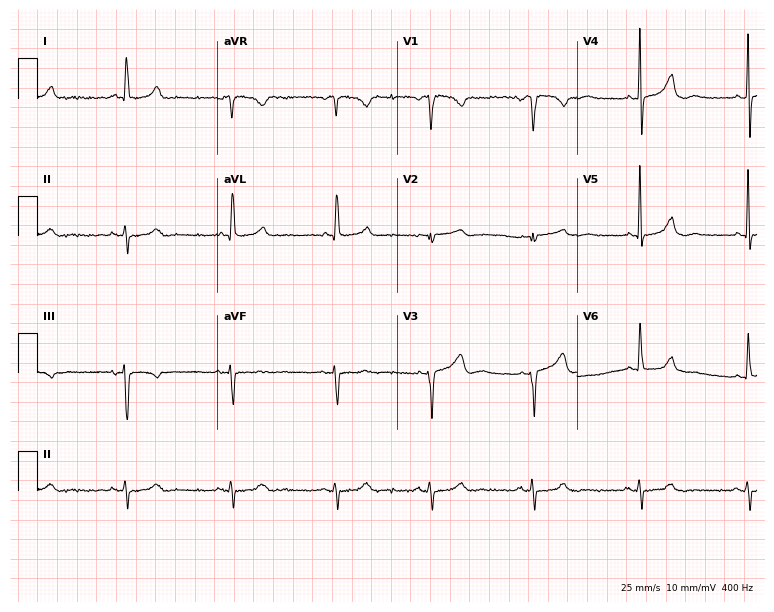
12-lead ECG (7.3-second recording at 400 Hz) from a woman, 26 years old. Screened for six findings — first-degree AV block, right bundle branch block, left bundle branch block, sinus bradycardia, atrial fibrillation, sinus tachycardia — none is recorded. Only these six findings were labelled.